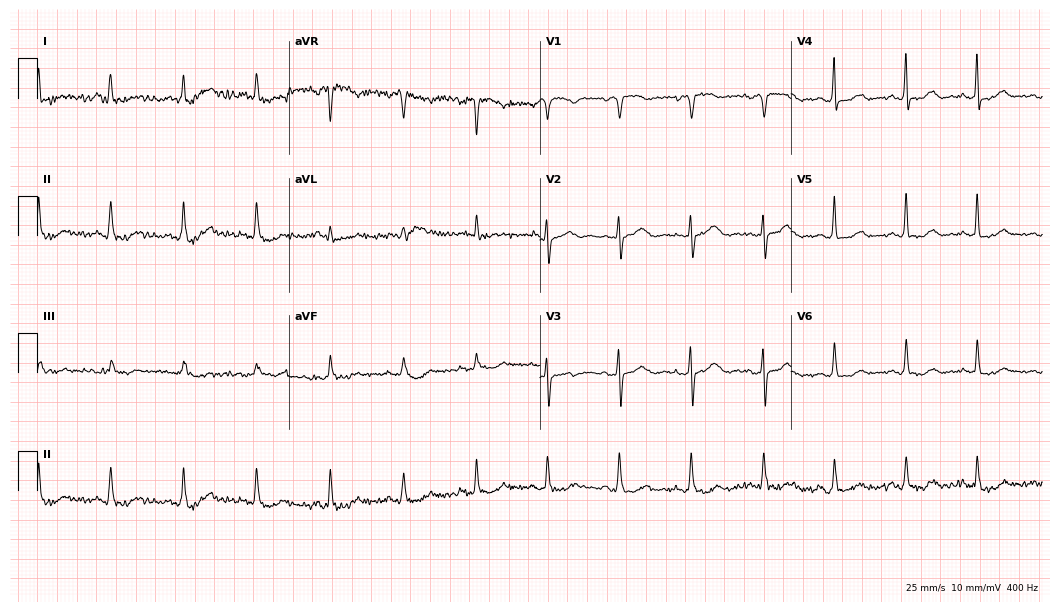
12-lead ECG from a 73-year-old female. Screened for six findings — first-degree AV block, right bundle branch block, left bundle branch block, sinus bradycardia, atrial fibrillation, sinus tachycardia — none is recorded.